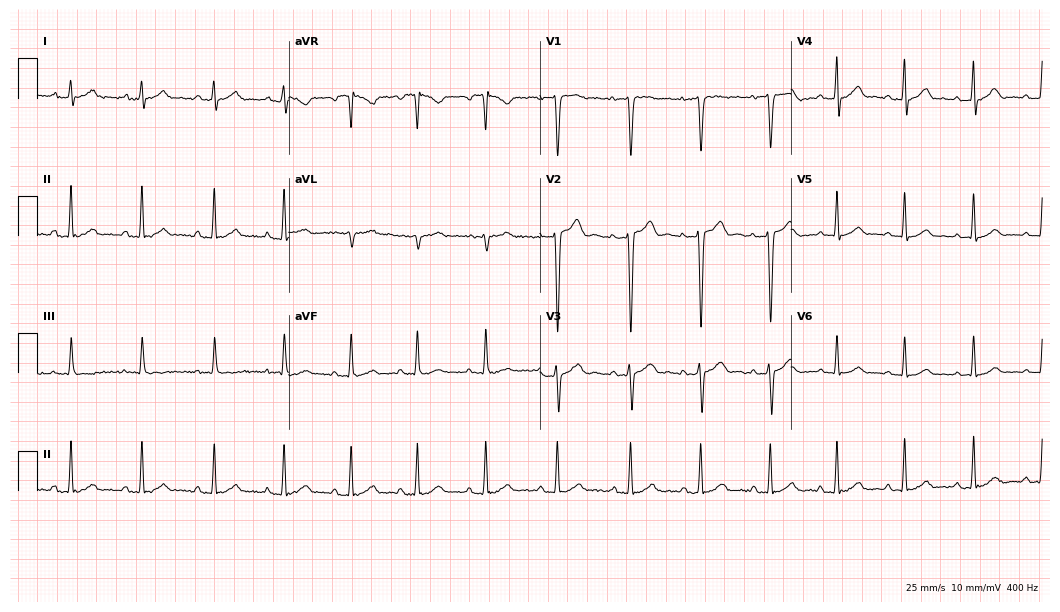
ECG — a male patient, 22 years old. Labelled as a normal ECG.